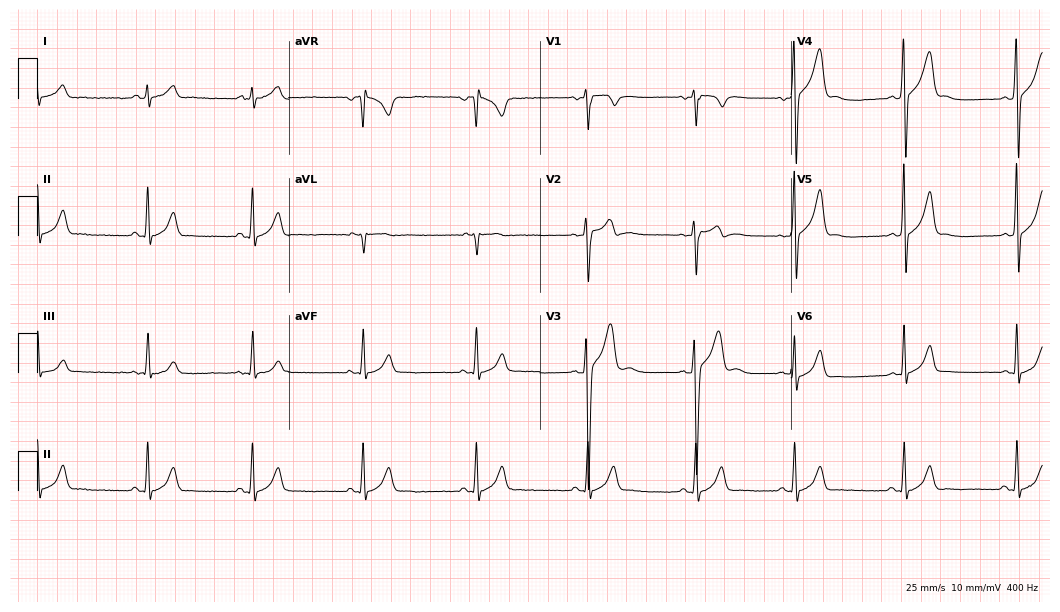
ECG (10.2-second recording at 400 Hz) — a 17-year-old male. Screened for six findings — first-degree AV block, right bundle branch block (RBBB), left bundle branch block (LBBB), sinus bradycardia, atrial fibrillation (AF), sinus tachycardia — none is recorded.